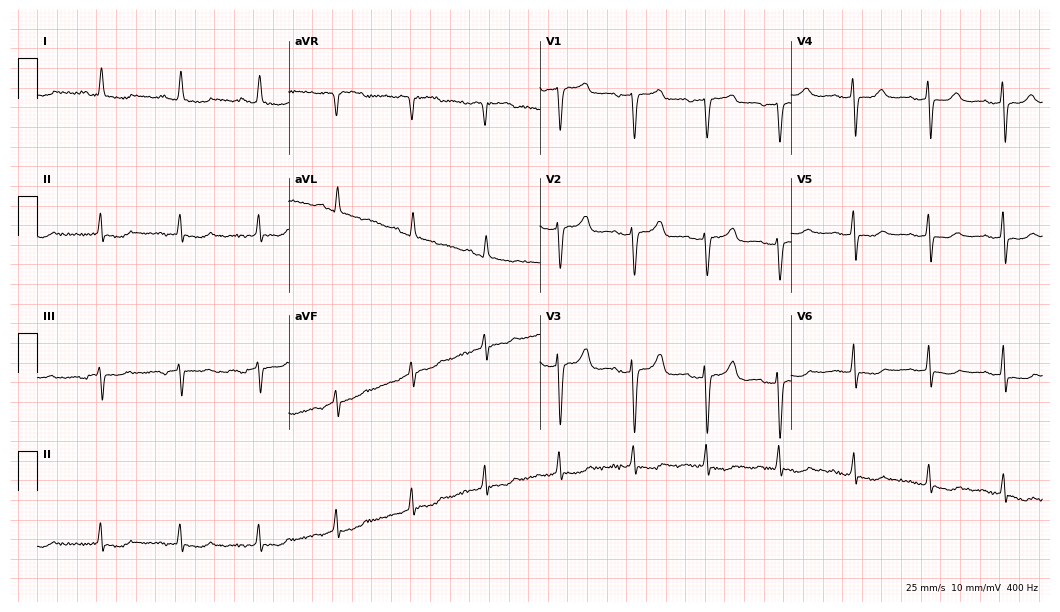
ECG — a female, 57 years old. Screened for six findings — first-degree AV block, right bundle branch block (RBBB), left bundle branch block (LBBB), sinus bradycardia, atrial fibrillation (AF), sinus tachycardia — none is recorded.